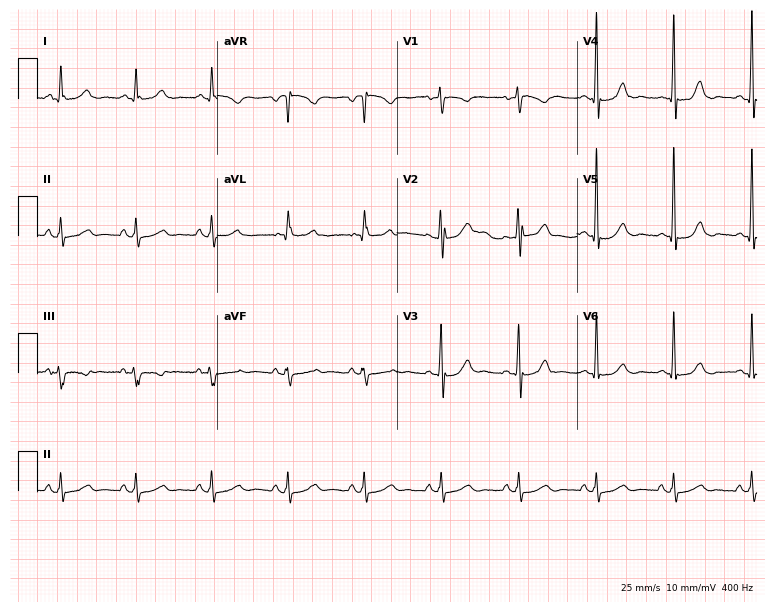
12-lead ECG (7.3-second recording at 400 Hz) from a 62-year-old male patient. Labelled as a normal ECG.